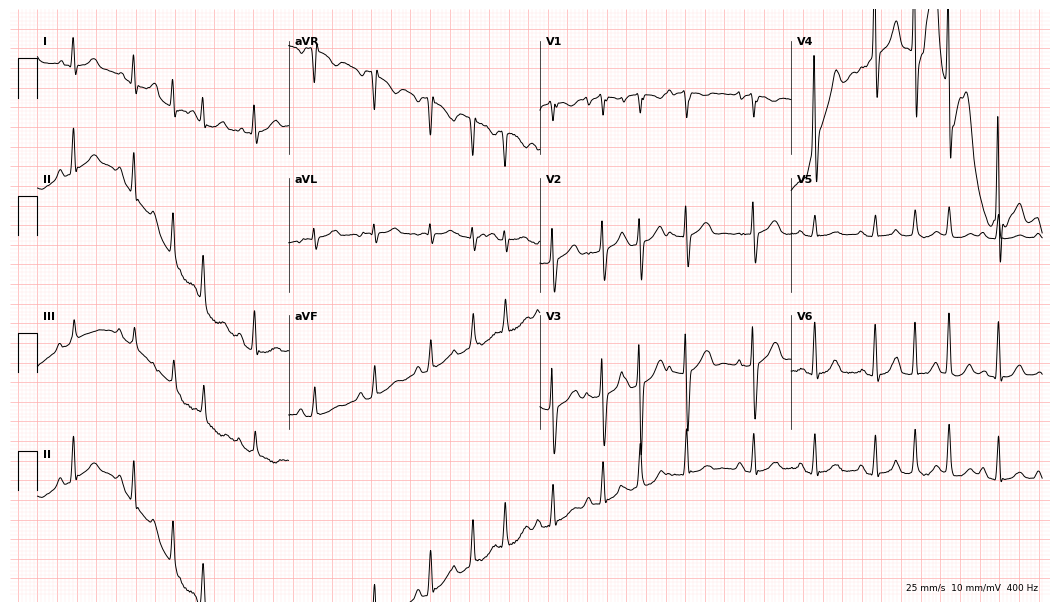
12-lead ECG from a 79-year-old female. No first-degree AV block, right bundle branch block, left bundle branch block, sinus bradycardia, atrial fibrillation or sinus tachycardia recorded for this tracing.